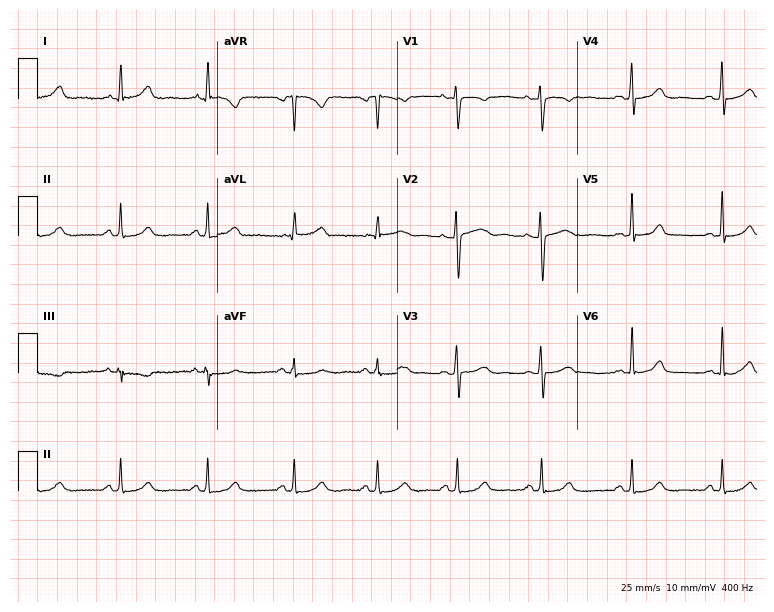
12-lead ECG from a 35-year-old female patient (7.3-second recording at 400 Hz). Recorded interpretation: within normal limits.